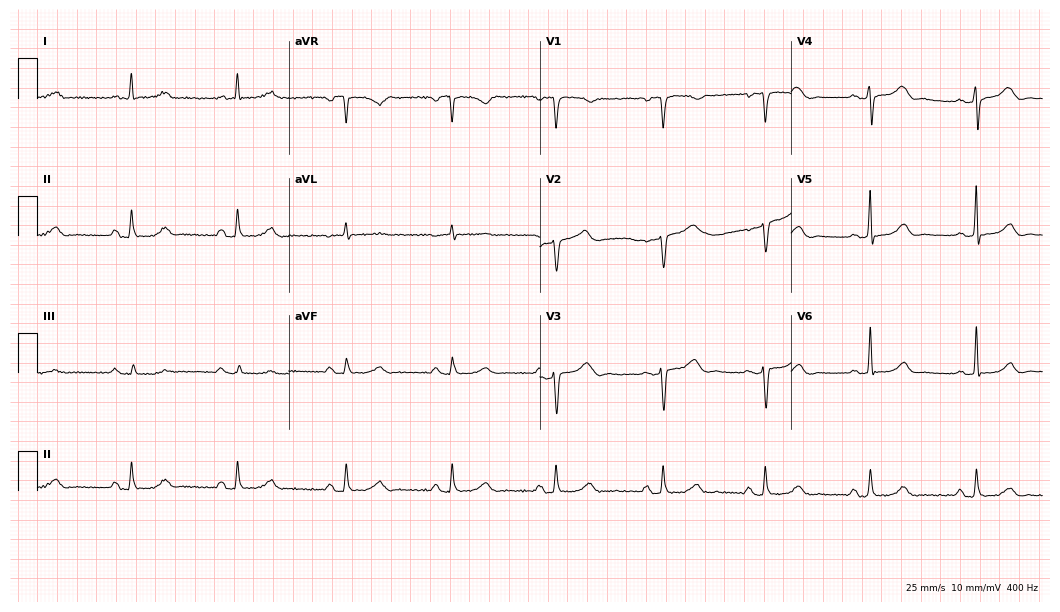
12-lead ECG from a 48-year-old woman. Recorded interpretation: within normal limits.